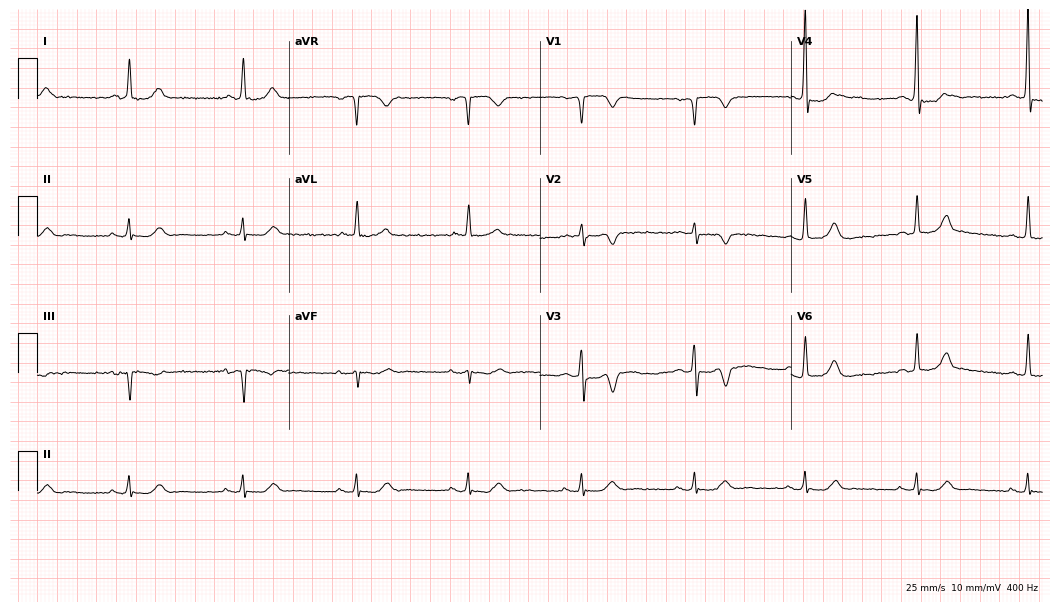
Resting 12-lead electrocardiogram (10.2-second recording at 400 Hz). Patient: a 68-year-old male. Read as a normal ECG.